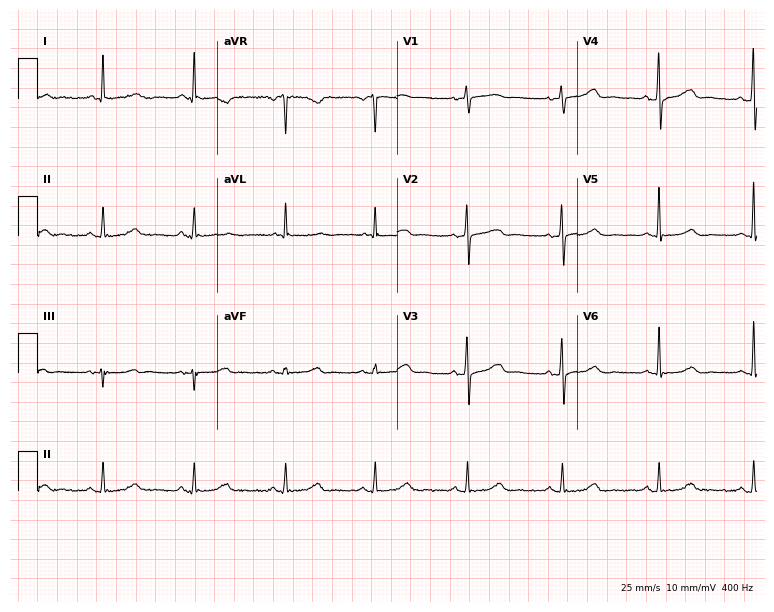
12-lead ECG from an 81-year-old female. Labelled as a normal ECG.